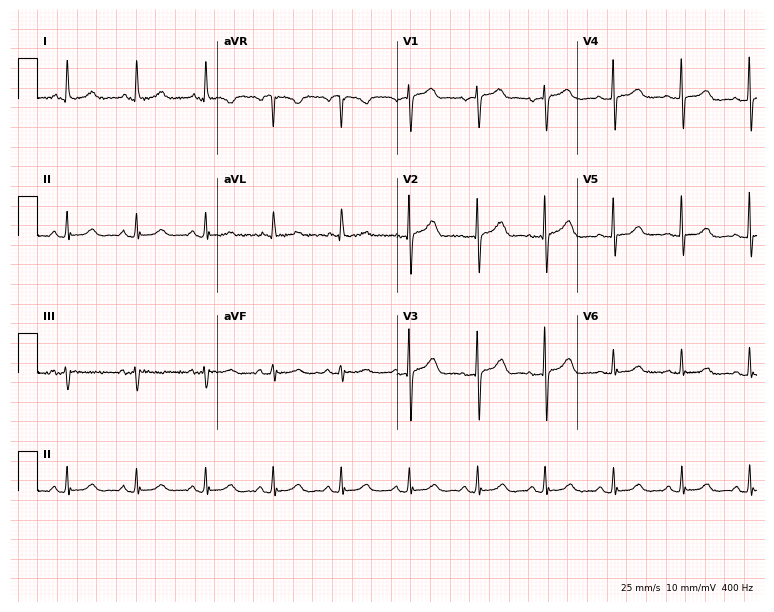
Standard 12-lead ECG recorded from a 71-year-old female patient. Read as a normal ECG.